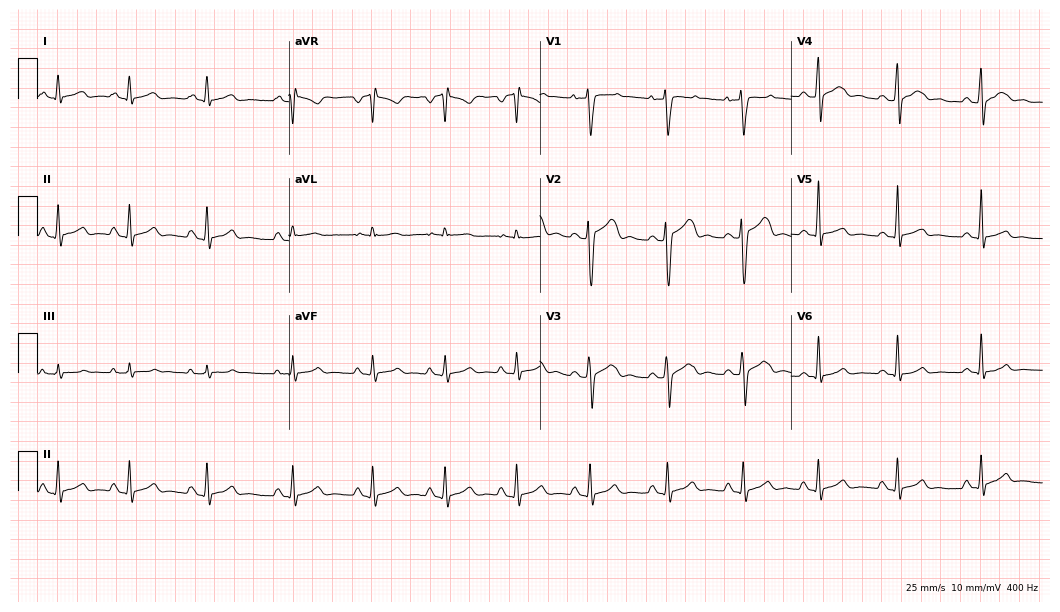
Standard 12-lead ECG recorded from a 19-year-old male patient. Read as a normal ECG.